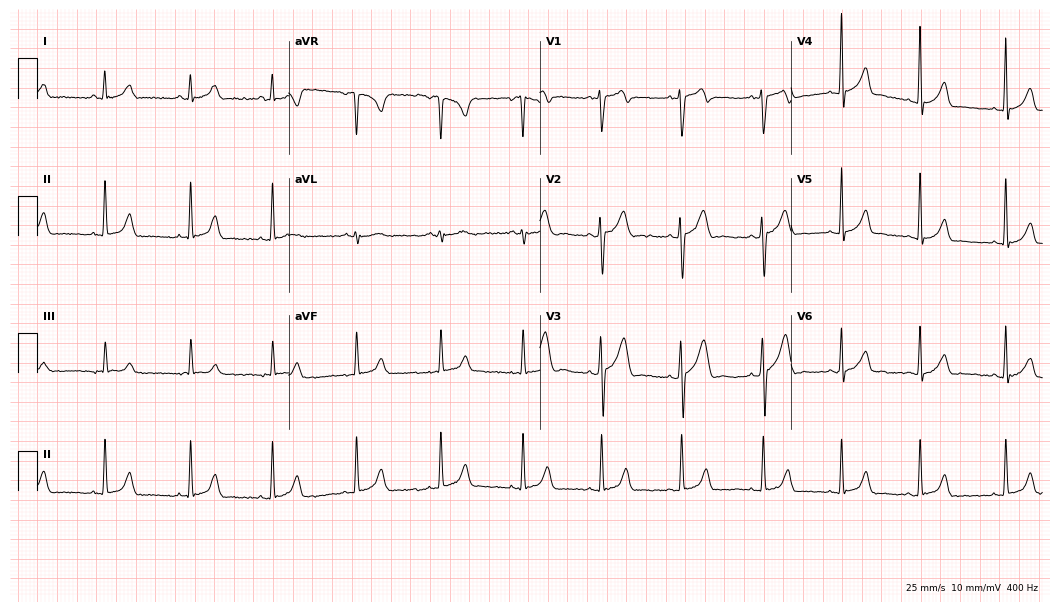
Standard 12-lead ECG recorded from a 17-year-old male. None of these six findings is recorded: first-degree AV block, right bundle branch block, left bundle branch block, sinus bradycardia, atrial fibrillation, sinus tachycardia. Findings outside these six are not listed.